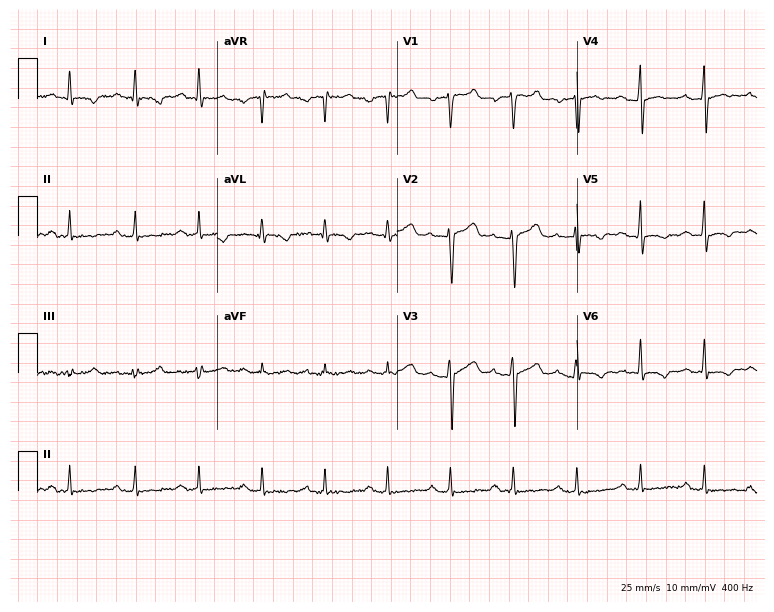
12-lead ECG from a male patient, 41 years old. Recorded interpretation: within normal limits.